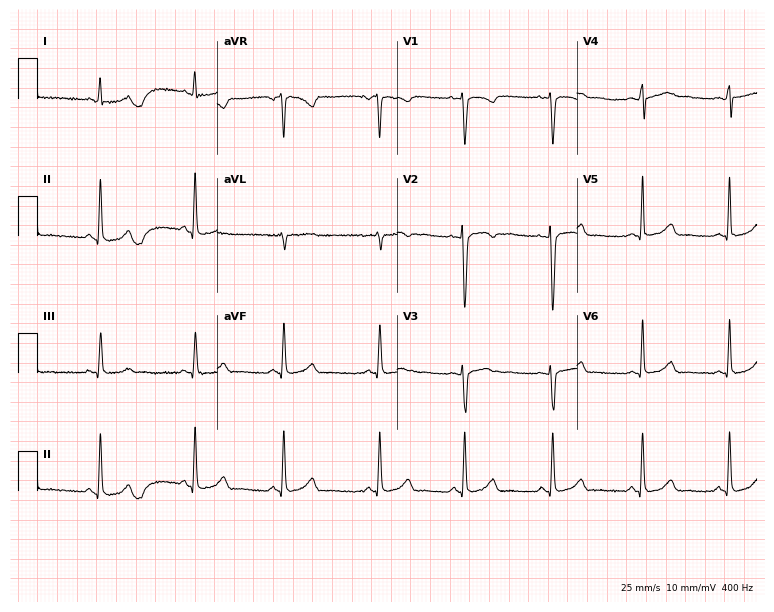
ECG (7.3-second recording at 400 Hz) — a 32-year-old woman. Screened for six findings — first-degree AV block, right bundle branch block (RBBB), left bundle branch block (LBBB), sinus bradycardia, atrial fibrillation (AF), sinus tachycardia — none is recorded. Findings outside these six are not listed.